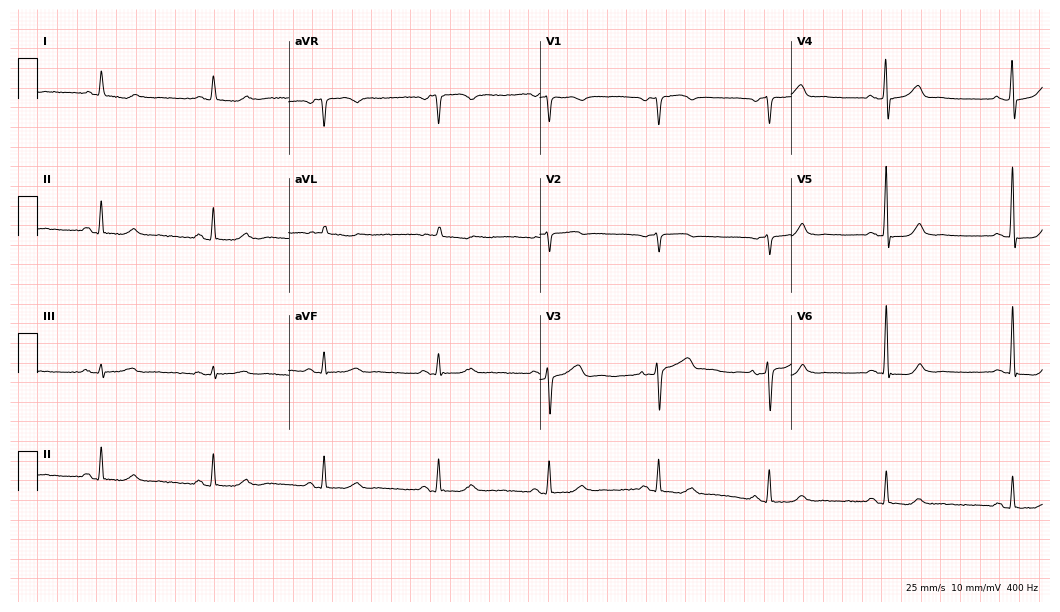
12-lead ECG (10.2-second recording at 400 Hz) from a woman, 61 years old. Labelled as a normal ECG.